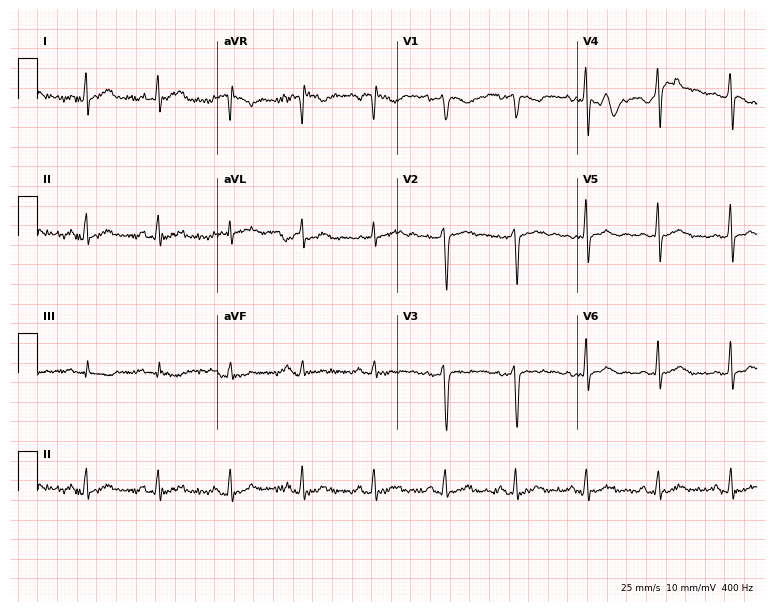
12-lead ECG from a 32-year-old male (7.3-second recording at 400 Hz). Recorded interpretation: within normal limits.